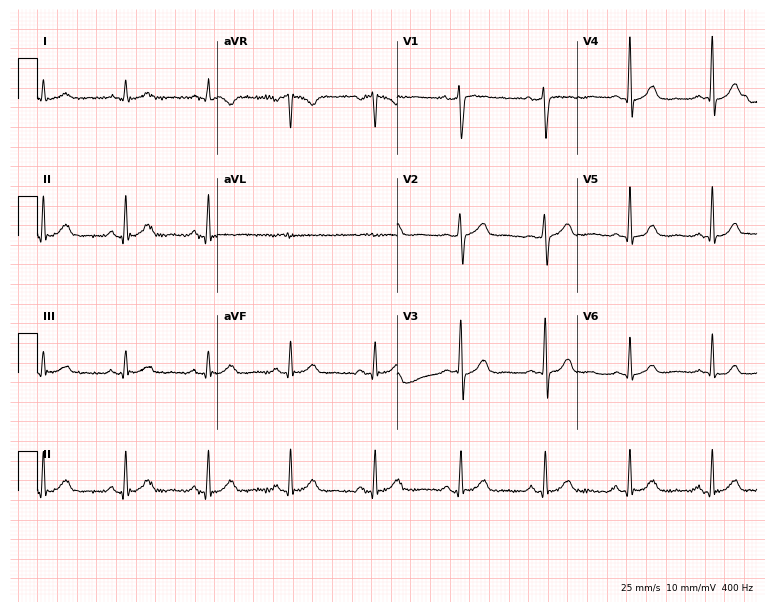
Resting 12-lead electrocardiogram (7.3-second recording at 400 Hz). Patient: a 58-year-old man. Read as a normal ECG.